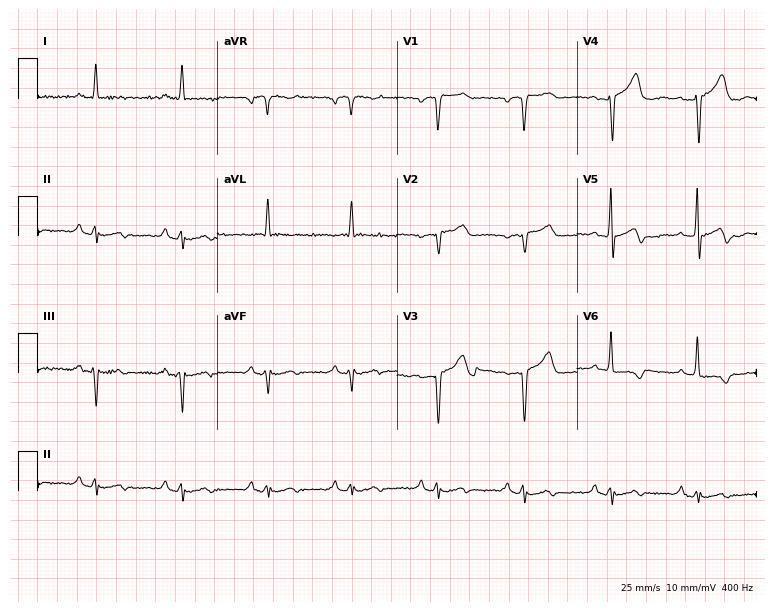
ECG — a 62-year-old female patient. Screened for six findings — first-degree AV block, right bundle branch block (RBBB), left bundle branch block (LBBB), sinus bradycardia, atrial fibrillation (AF), sinus tachycardia — none is recorded.